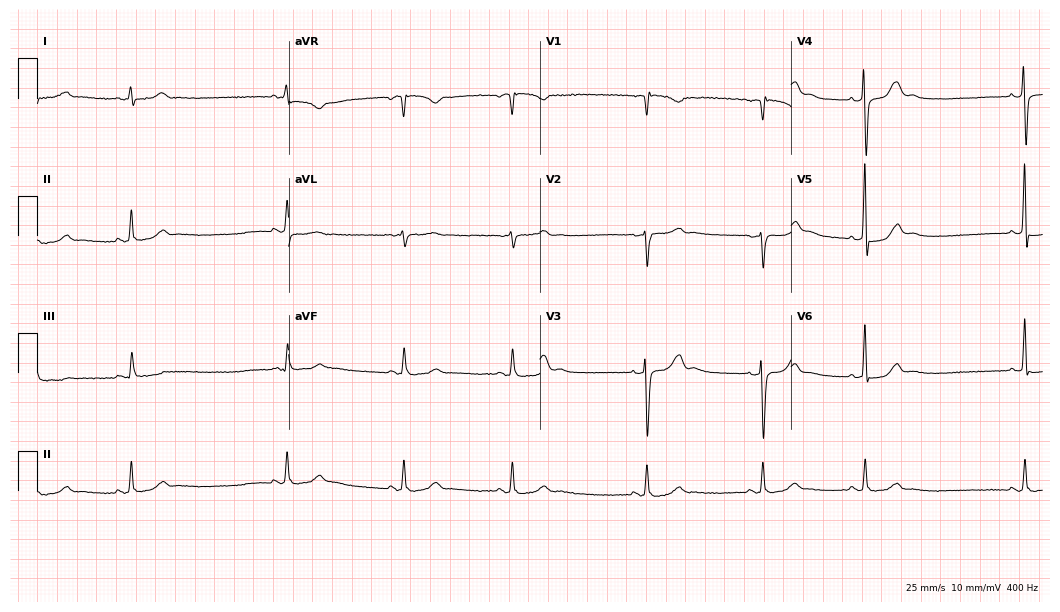
Electrocardiogram, a female patient, 54 years old. Of the six screened findings (first-degree AV block, right bundle branch block (RBBB), left bundle branch block (LBBB), sinus bradycardia, atrial fibrillation (AF), sinus tachycardia), none is recorded.